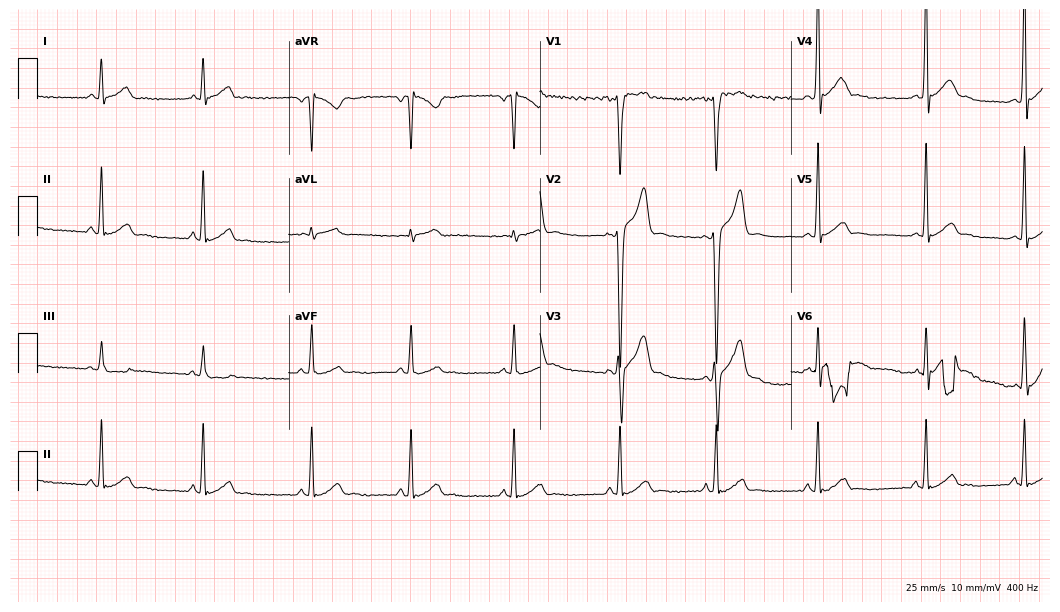
12-lead ECG from a male patient, 22 years old. Labelled as a normal ECG.